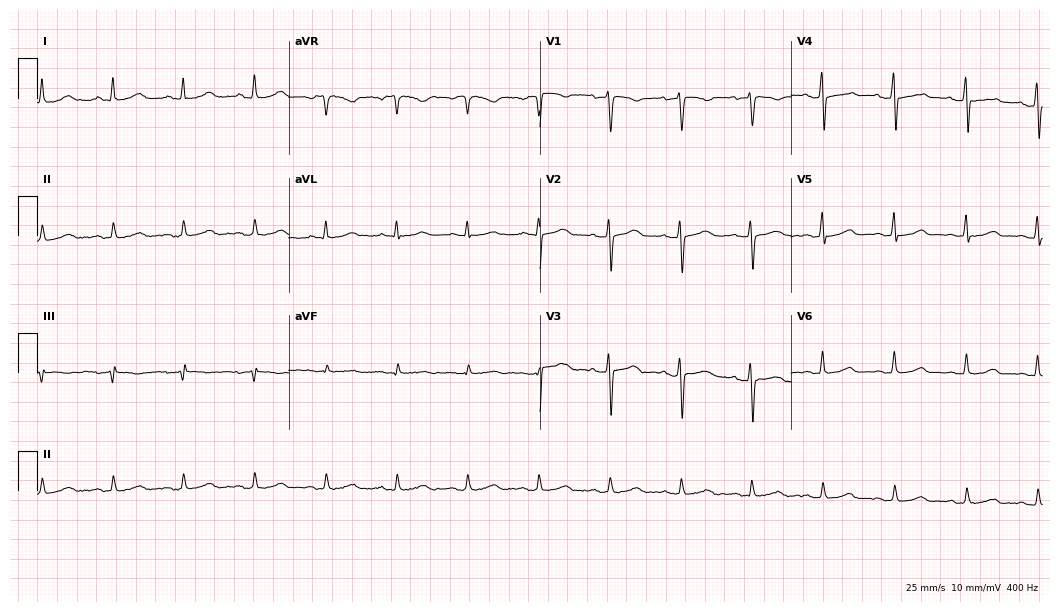
ECG (10.2-second recording at 400 Hz) — a 54-year-old female. Screened for six findings — first-degree AV block, right bundle branch block, left bundle branch block, sinus bradycardia, atrial fibrillation, sinus tachycardia — none is recorded. Only these six findings were labelled.